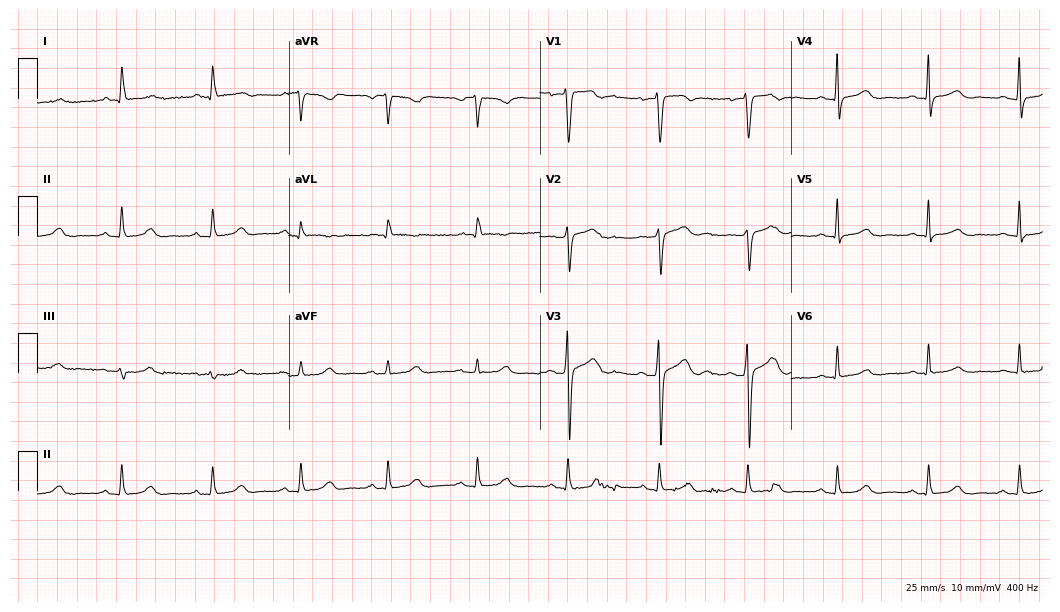
ECG (10.2-second recording at 400 Hz) — a woman, 57 years old. Labelled as a normal ECG.